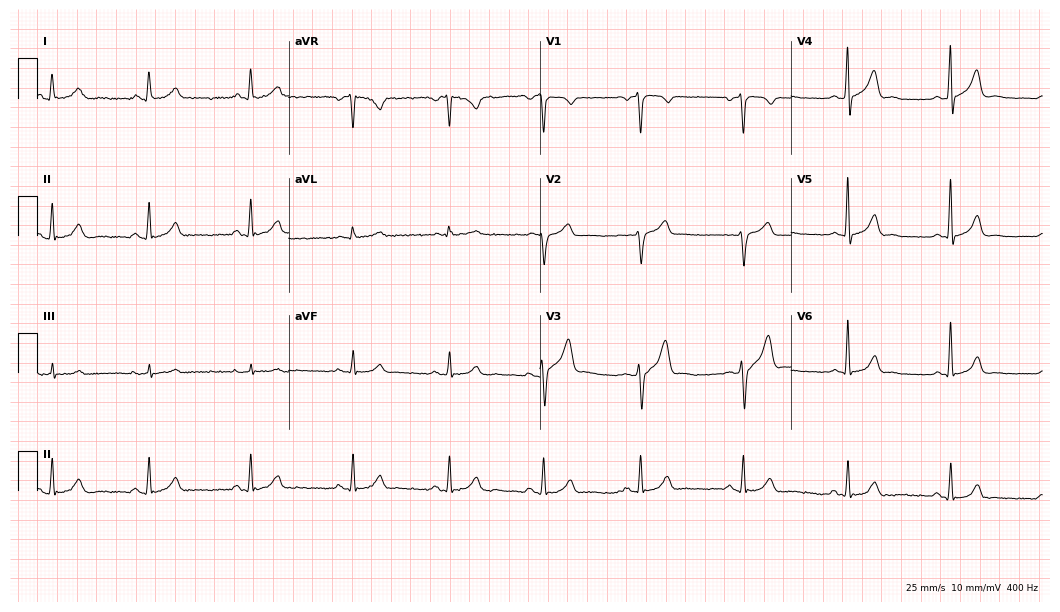
Resting 12-lead electrocardiogram. Patient: a male, 44 years old. Read as a normal ECG.